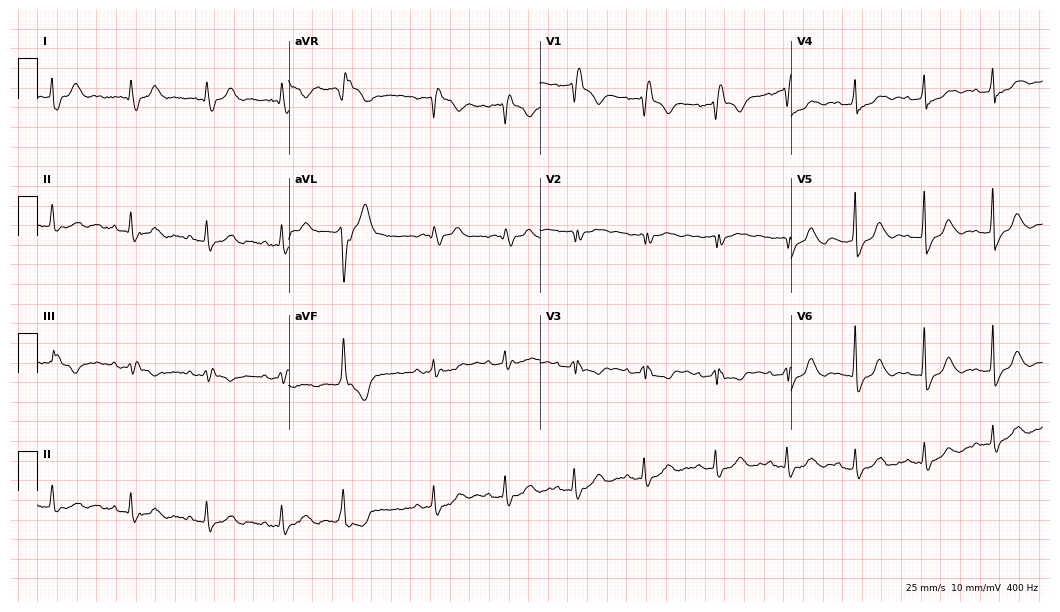
12-lead ECG (10.2-second recording at 400 Hz) from a 76-year-old woman. Findings include right bundle branch block.